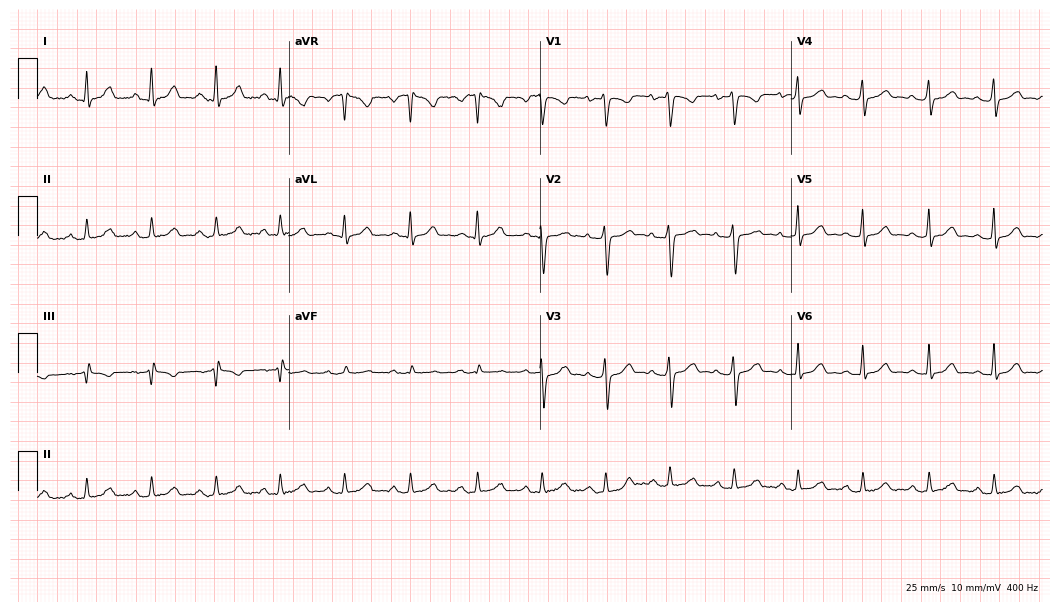
12-lead ECG from a 25-year-old female patient (10.2-second recording at 400 Hz). Recorded interpretation: within normal limits.